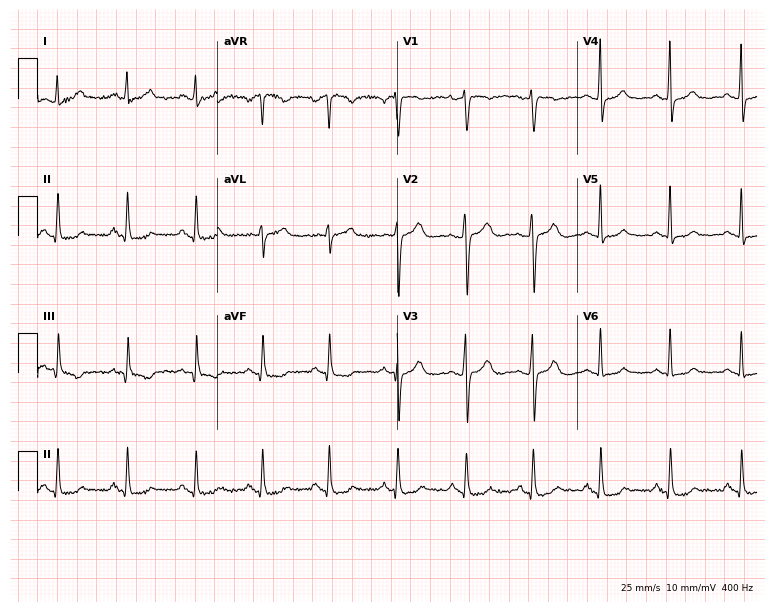
Resting 12-lead electrocardiogram (7.3-second recording at 400 Hz). Patient: a 52-year-old female. Read as a normal ECG.